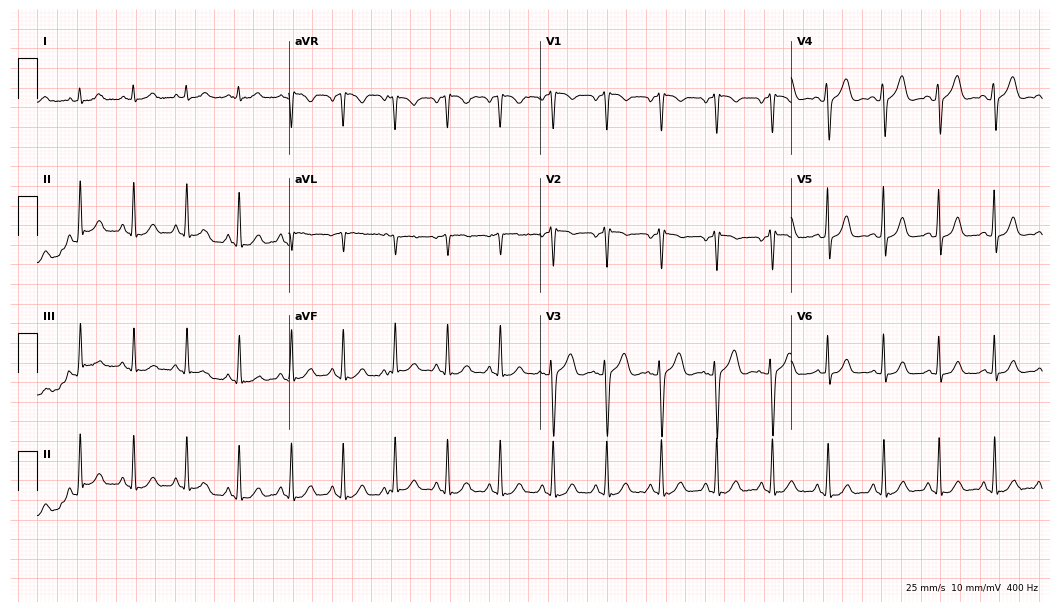
12-lead ECG from a woman, 36 years old. Screened for six findings — first-degree AV block, right bundle branch block, left bundle branch block, sinus bradycardia, atrial fibrillation, sinus tachycardia — none is recorded. Other findings, if any, are not listed.